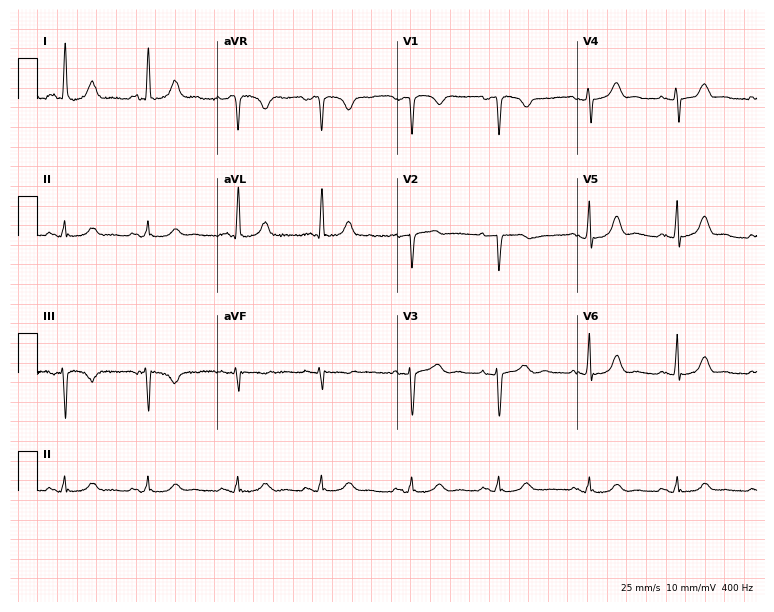
Resting 12-lead electrocardiogram (7.3-second recording at 400 Hz). Patient: a 53-year-old woman. None of these six findings is recorded: first-degree AV block, right bundle branch block (RBBB), left bundle branch block (LBBB), sinus bradycardia, atrial fibrillation (AF), sinus tachycardia. Only these six findings were labelled.